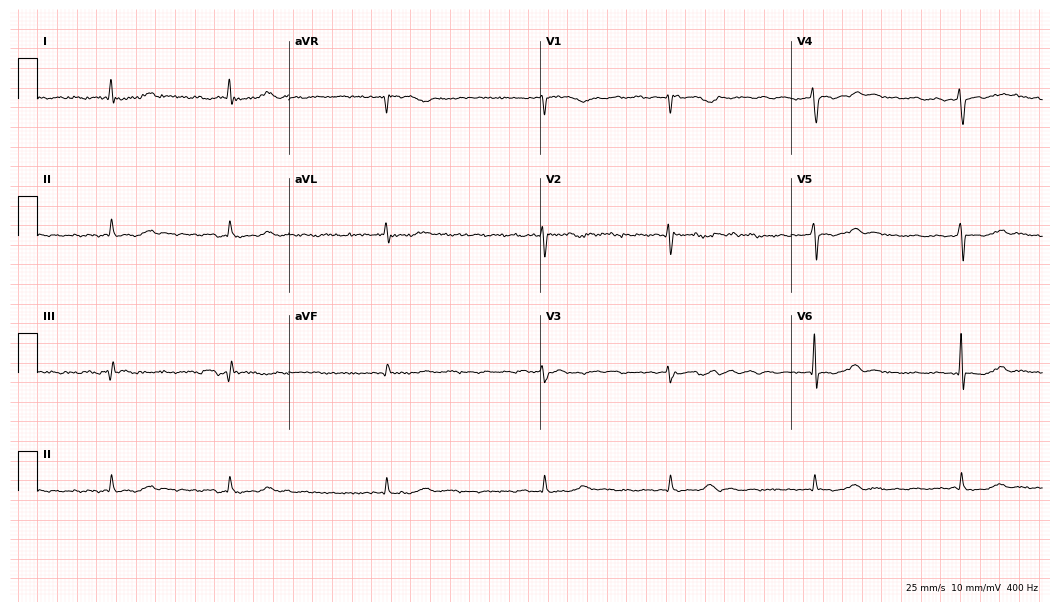
Electrocardiogram (10.2-second recording at 400 Hz), a female patient, 58 years old. Interpretation includes atrial fibrillation (AF).